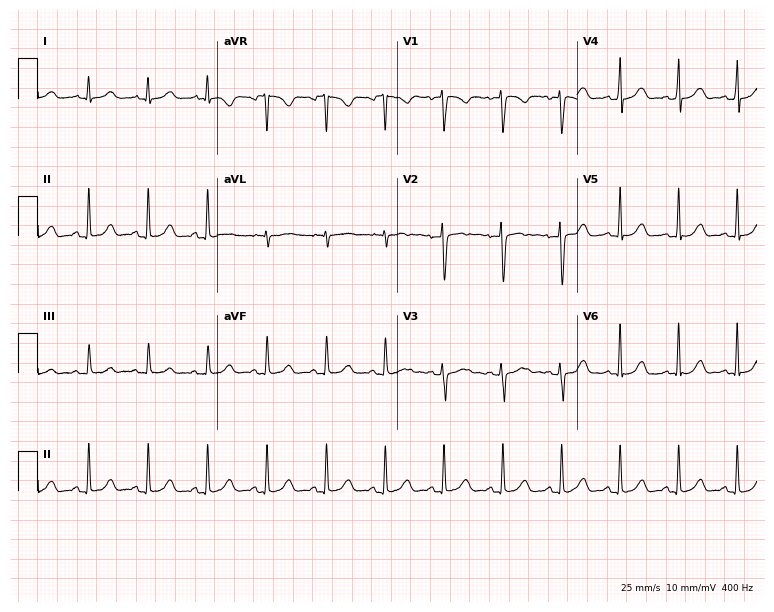
12-lead ECG from a 23-year-old female patient. Labelled as a normal ECG.